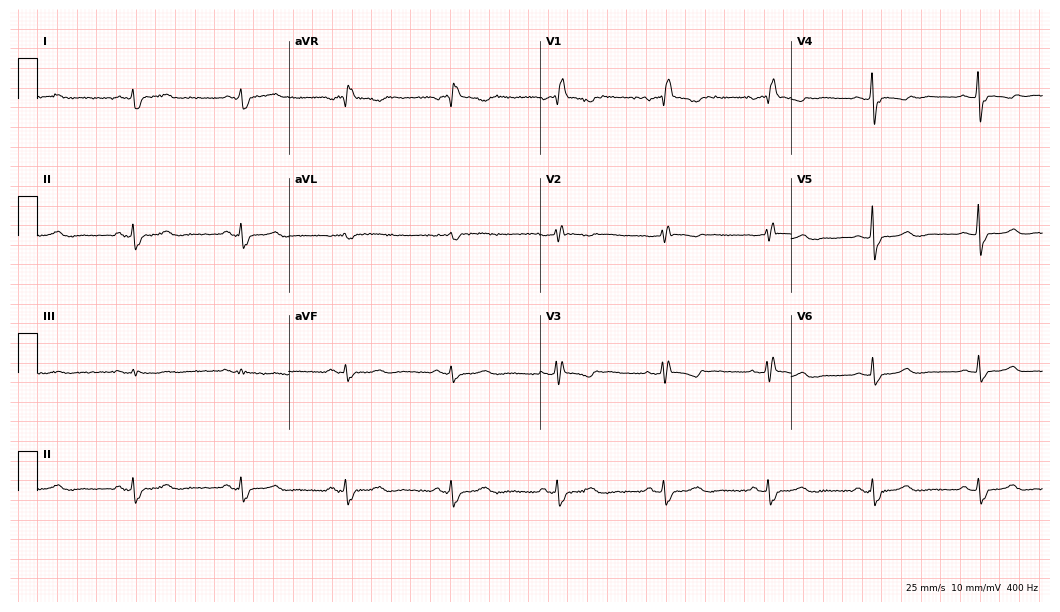
12-lead ECG (10.2-second recording at 400 Hz) from a 51-year-old woman. Findings include right bundle branch block.